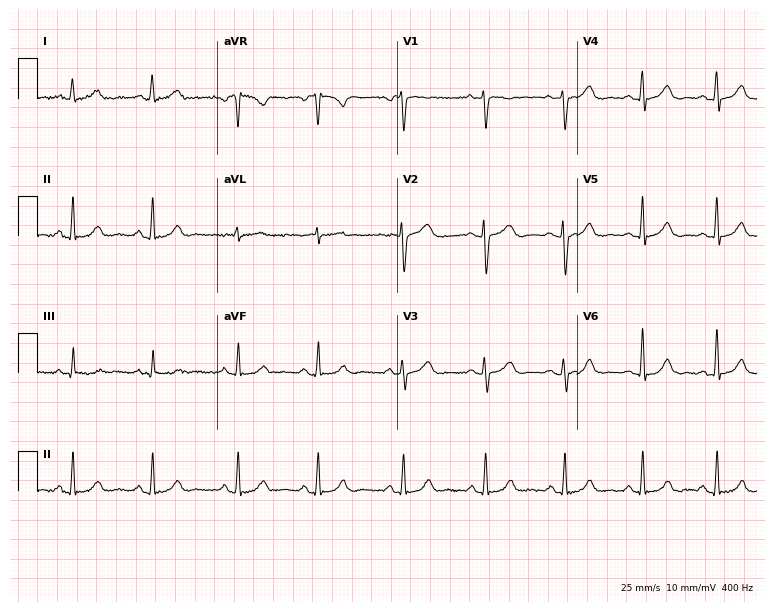
12-lead ECG (7.3-second recording at 400 Hz) from a 38-year-old female. Labelled as a normal ECG.